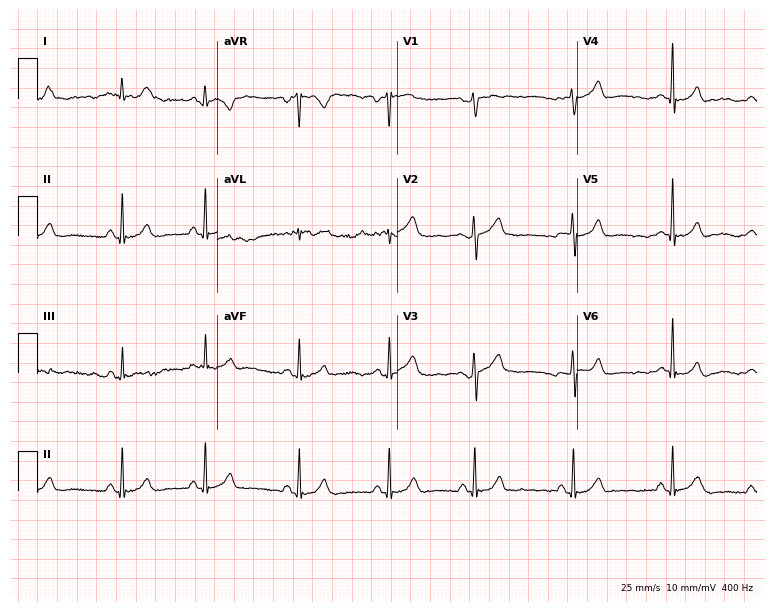
12-lead ECG from a 48-year-old woman. Recorded interpretation: within normal limits.